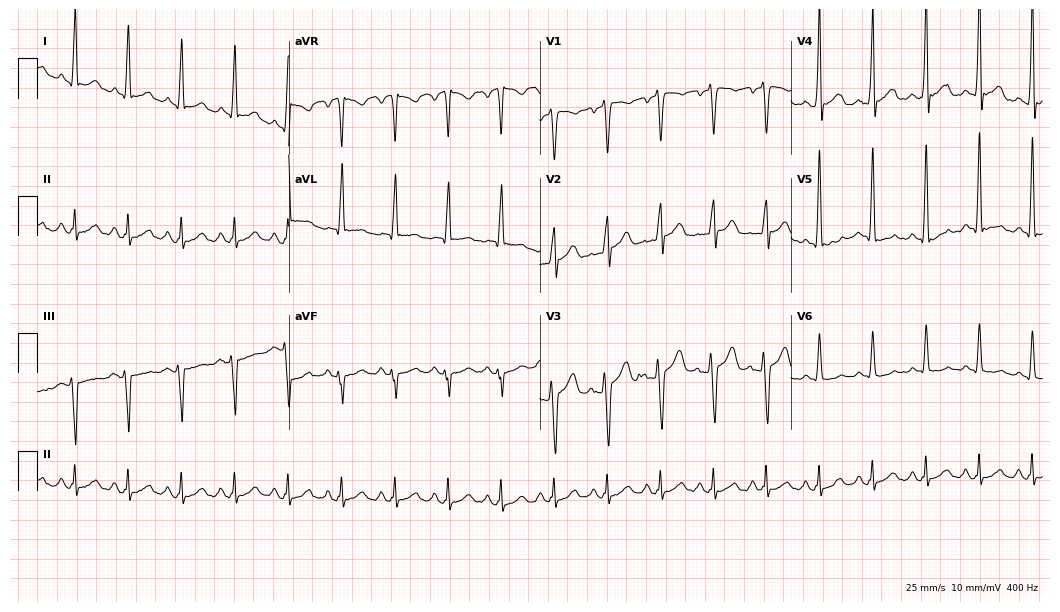
12-lead ECG from a man, 31 years old (10.2-second recording at 400 Hz). Shows sinus tachycardia (a sinus rate of 100 beats per minute or more).